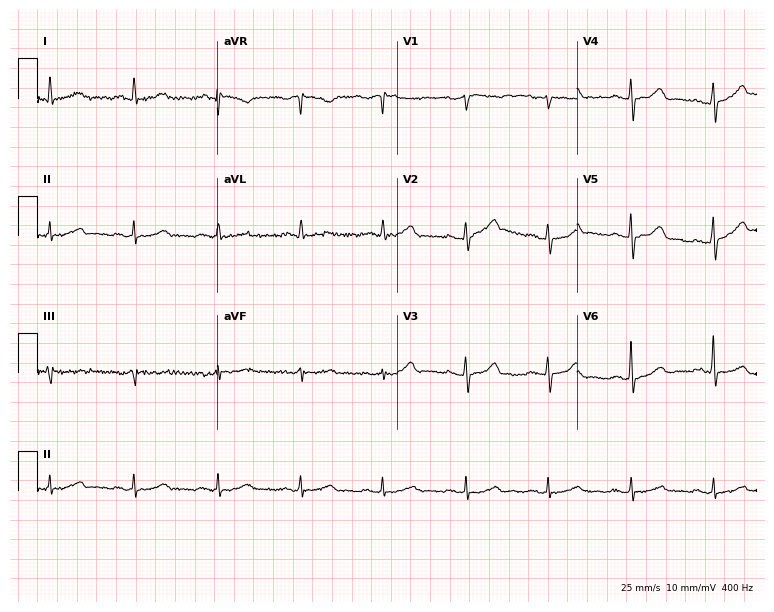
Standard 12-lead ECG recorded from a 78-year-old man (7.3-second recording at 400 Hz). Read as a normal ECG.